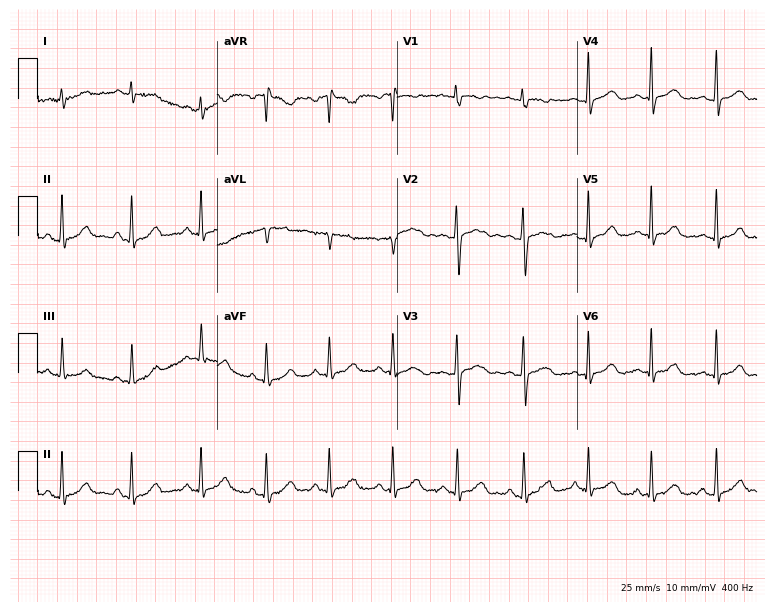
12-lead ECG from a 23-year-old female patient. No first-degree AV block, right bundle branch block (RBBB), left bundle branch block (LBBB), sinus bradycardia, atrial fibrillation (AF) or sinus tachycardia recorded for this tracing.